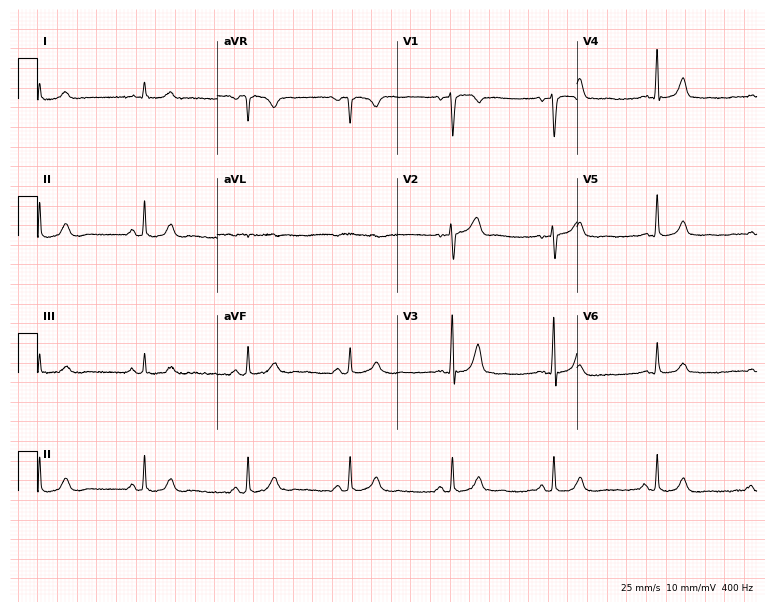
Resting 12-lead electrocardiogram (7.3-second recording at 400 Hz). Patient: a male, 60 years old. Read as a normal ECG.